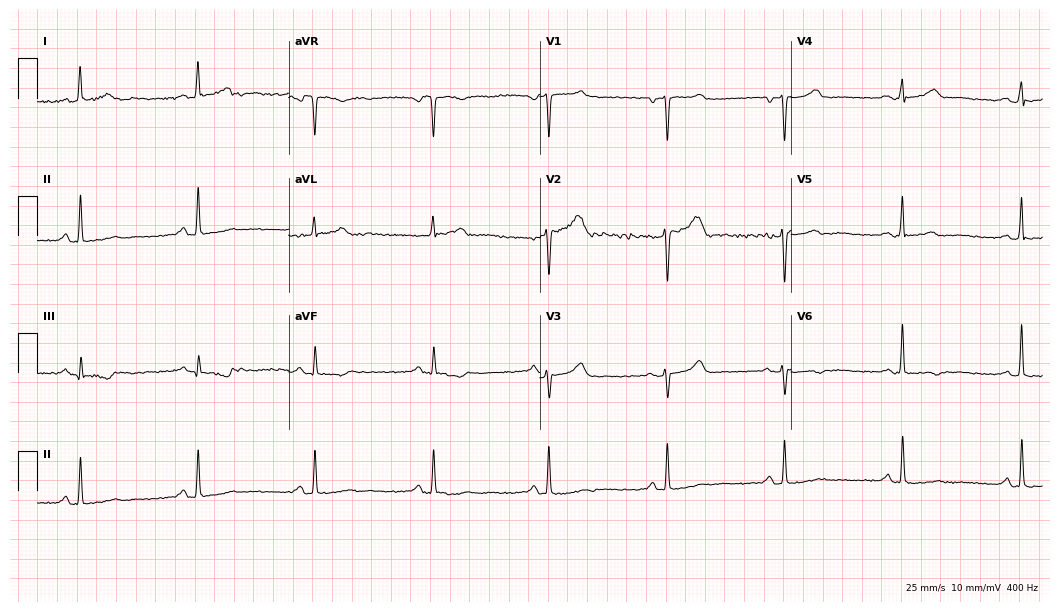
Electrocardiogram (10.2-second recording at 400 Hz), a 58-year-old female patient. Of the six screened findings (first-degree AV block, right bundle branch block, left bundle branch block, sinus bradycardia, atrial fibrillation, sinus tachycardia), none is recorded. Only these six findings were labelled.